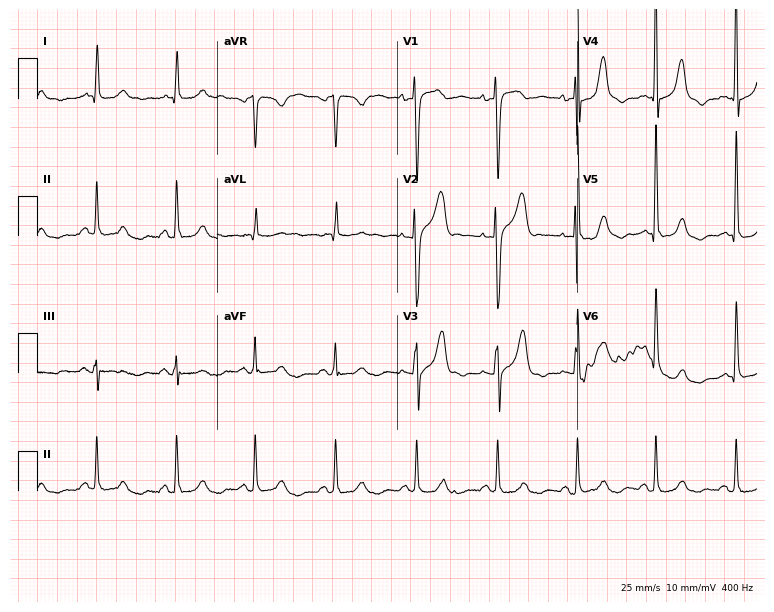
ECG (7.3-second recording at 400 Hz) — a female patient, 72 years old. Screened for six findings — first-degree AV block, right bundle branch block, left bundle branch block, sinus bradycardia, atrial fibrillation, sinus tachycardia — none is recorded.